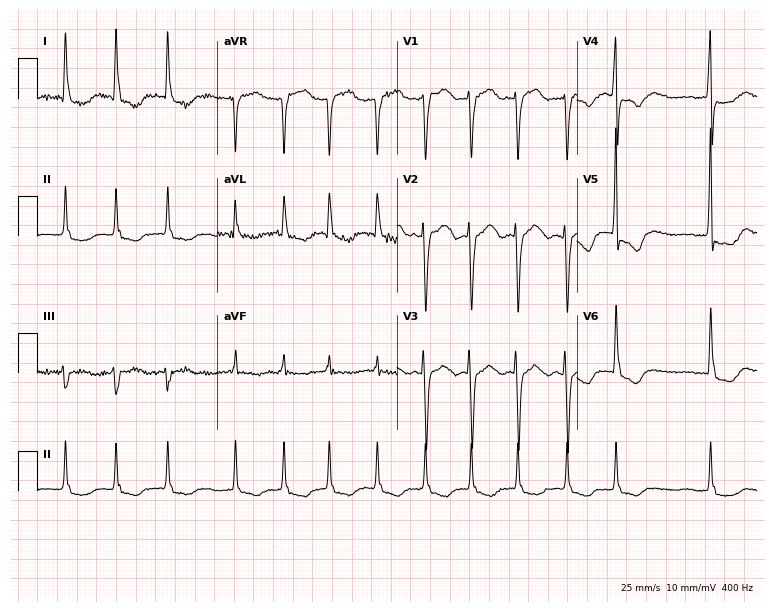
12-lead ECG from a female, 81 years old. Shows atrial fibrillation.